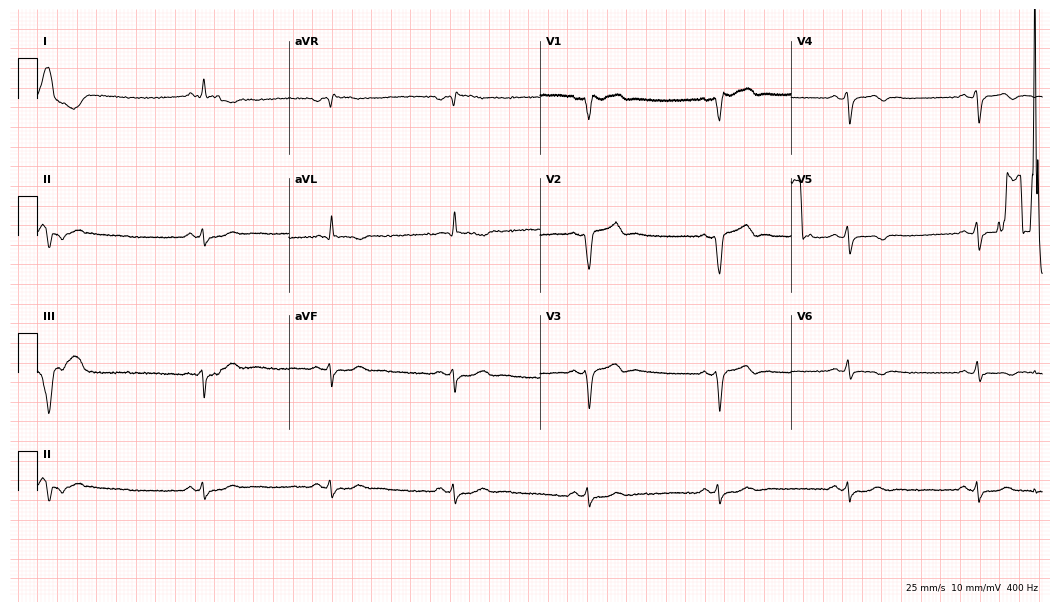
12-lead ECG (10.2-second recording at 400 Hz) from a male patient, 80 years old. Screened for six findings — first-degree AV block, right bundle branch block, left bundle branch block, sinus bradycardia, atrial fibrillation, sinus tachycardia — none is recorded.